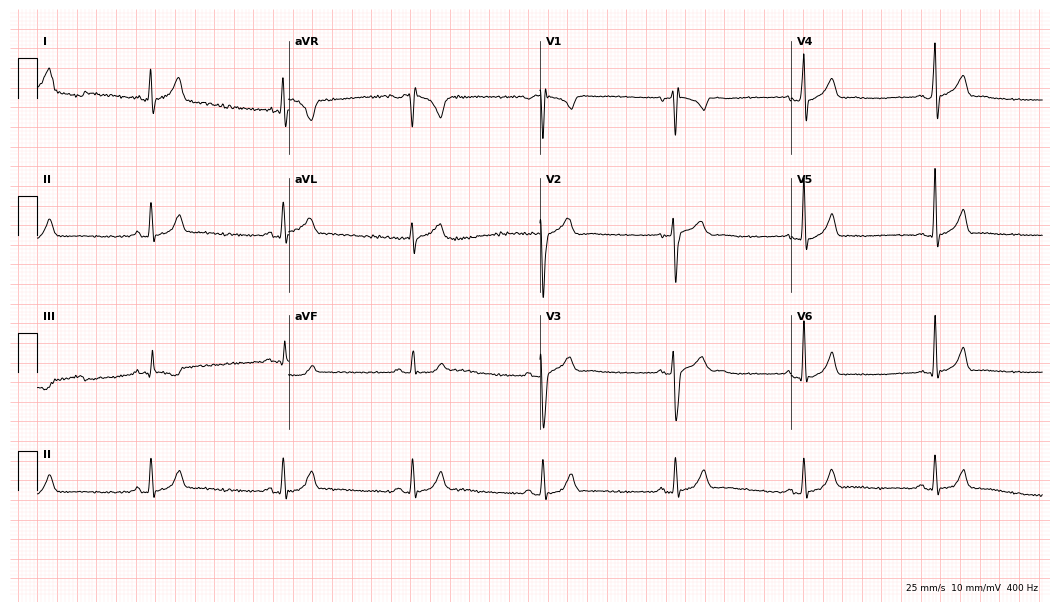
ECG (10.2-second recording at 400 Hz) — a male patient, 26 years old. Findings include sinus bradycardia (a sinus rate of 50 beats per minute or less).